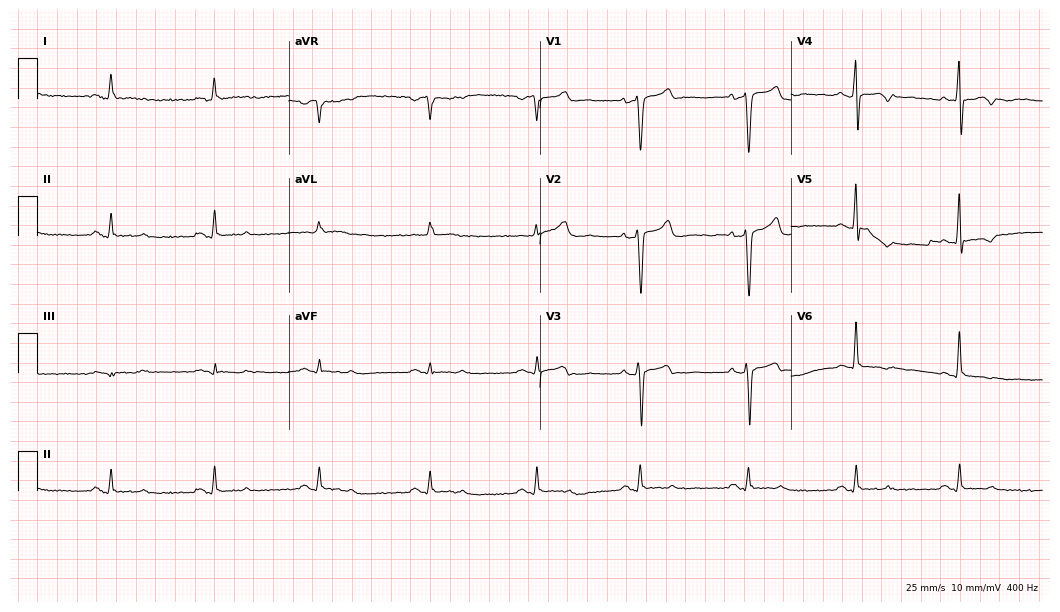
12-lead ECG (10.2-second recording at 400 Hz) from a male patient, 59 years old. Screened for six findings — first-degree AV block, right bundle branch block (RBBB), left bundle branch block (LBBB), sinus bradycardia, atrial fibrillation (AF), sinus tachycardia — none is recorded. Other findings, if any, are not listed.